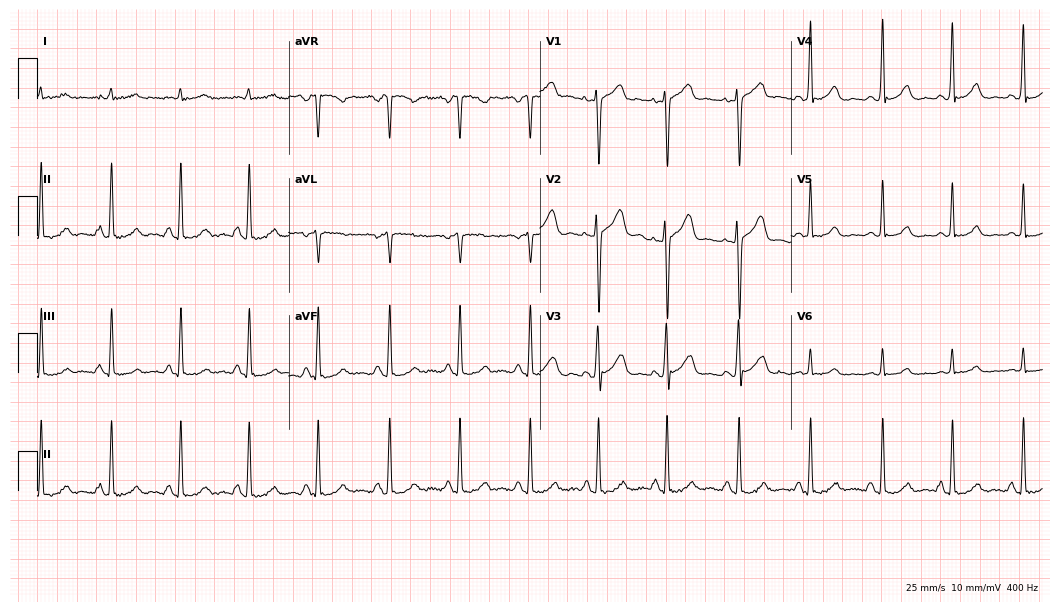
Resting 12-lead electrocardiogram (10.2-second recording at 400 Hz). Patient: a man, 50 years old. Read as a normal ECG.